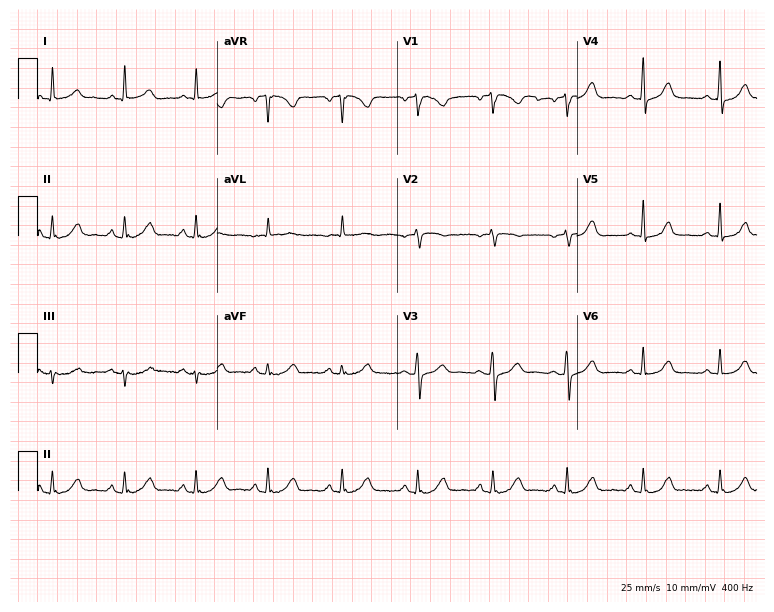
12-lead ECG (7.3-second recording at 400 Hz) from a female patient, 52 years old. Screened for six findings — first-degree AV block, right bundle branch block (RBBB), left bundle branch block (LBBB), sinus bradycardia, atrial fibrillation (AF), sinus tachycardia — none is recorded.